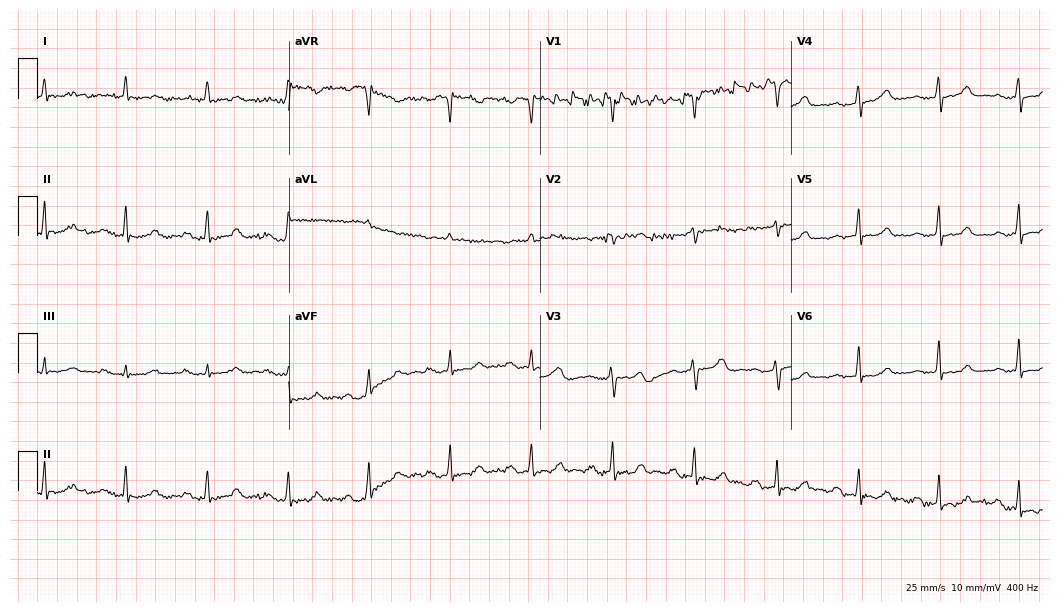
Resting 12-lead electrocardiogram. Patient: a 73-year-old female. None of these six findings is recorded: first-degree AV block, right bundle branch block, left bundle branch block, sinus bradycardia, atrial fibrillation, sinus tachycardia. Other findings, if any, are not listed.